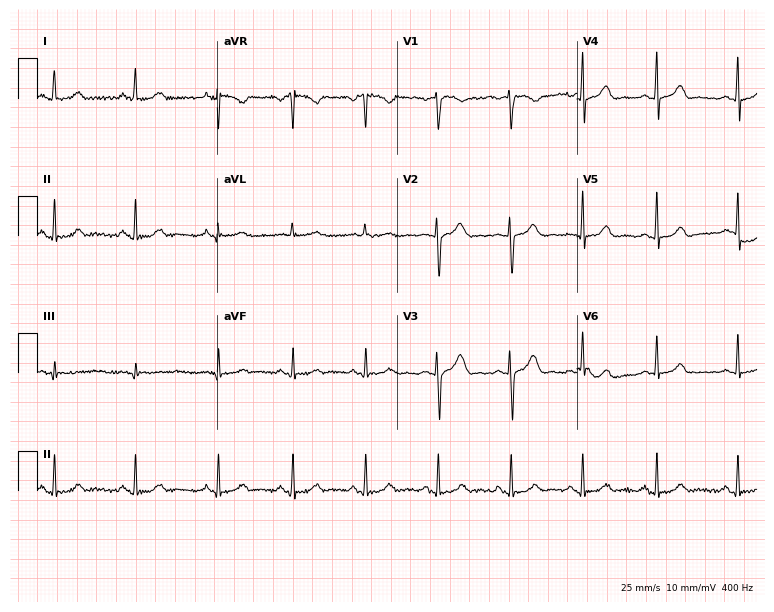
Electrocardiogram (7.3-second recording at 400 Hz), a female, 25 years old. Of the six screened findings (first-degree AV block, right bundle branch block, left bundle branch block, sinus bradycardia, atrial fibrillation, sinus tachycardia), none is recorded.